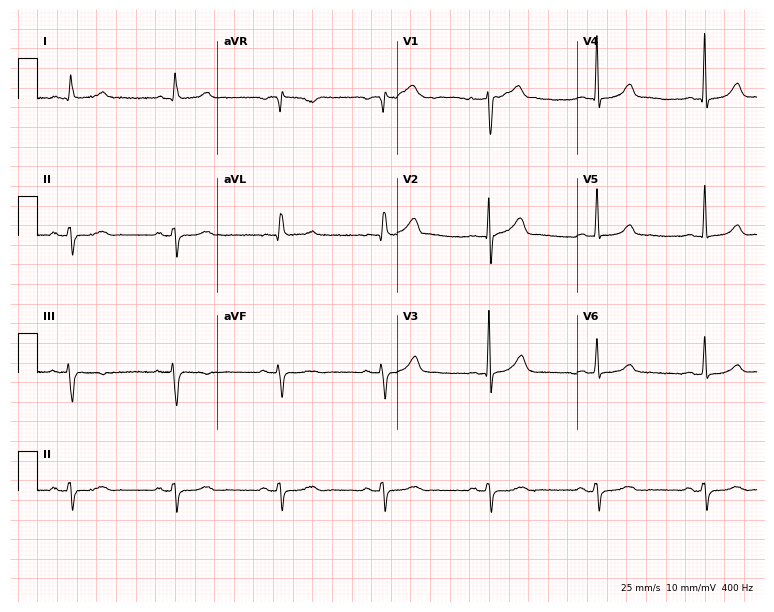
Electrocardiogram (7.3-second recording at 400 Hz), a 72-year-old male patient. Of the six screened findings (first-degree AV block, right bundle branch block, left bundle branch block, sinus bradycardia, atrial fibrillation, sinus tachycardia), none is recorded. Other findings, if any, are not listed.